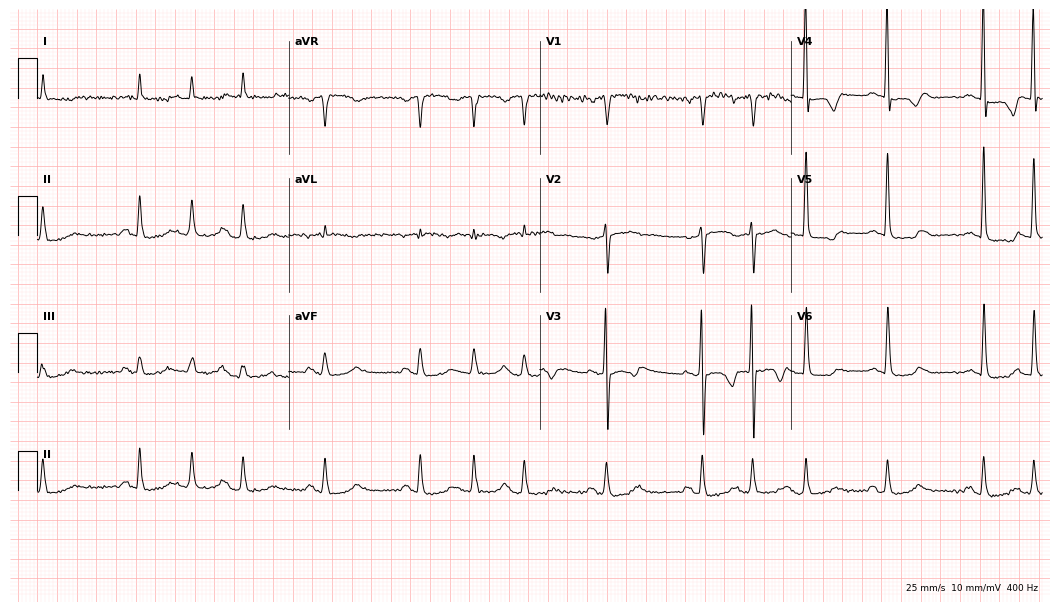
ECG (10.2-second recording at 400 Hz) — an 80-year-old male. Screened for six findings — first-degree AV block, right bundle branch block, left bundle branch block, sinus bradycardia, atrial fibrillation, sinus tachycardia — none is recorded. Findings outside these six are not listed.